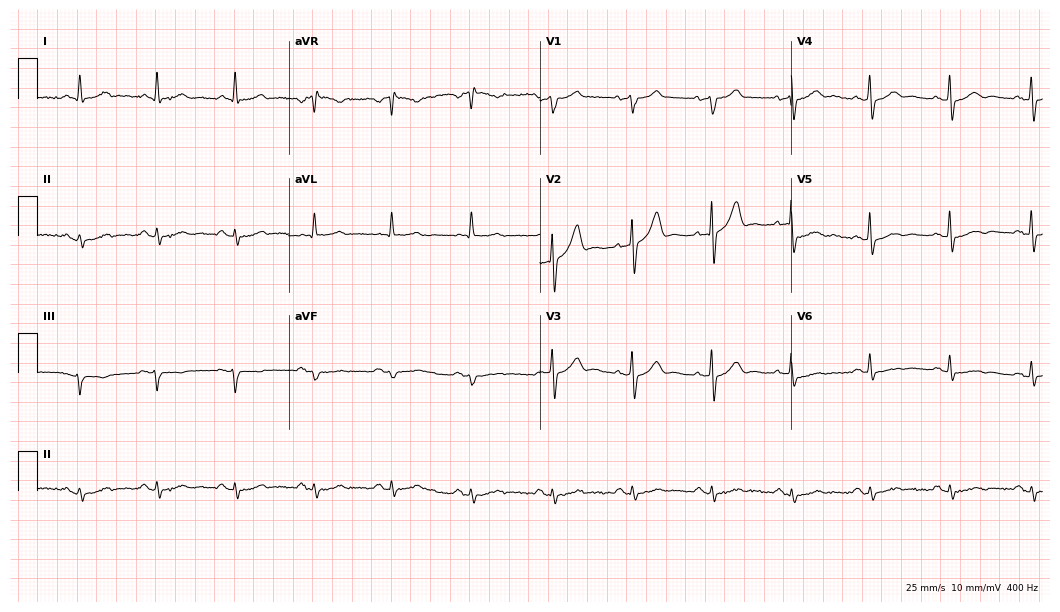
Electrocardiogram, a man, 67 years old. Of the six screened findings (first-degree AV block, right bundle branch block (RBBB), left bundle branch block (LBBB), sinus bradycardia, atrial fibrillation (AF), sinus tachycardia), none is recorded. Findings outside these six are not listed.